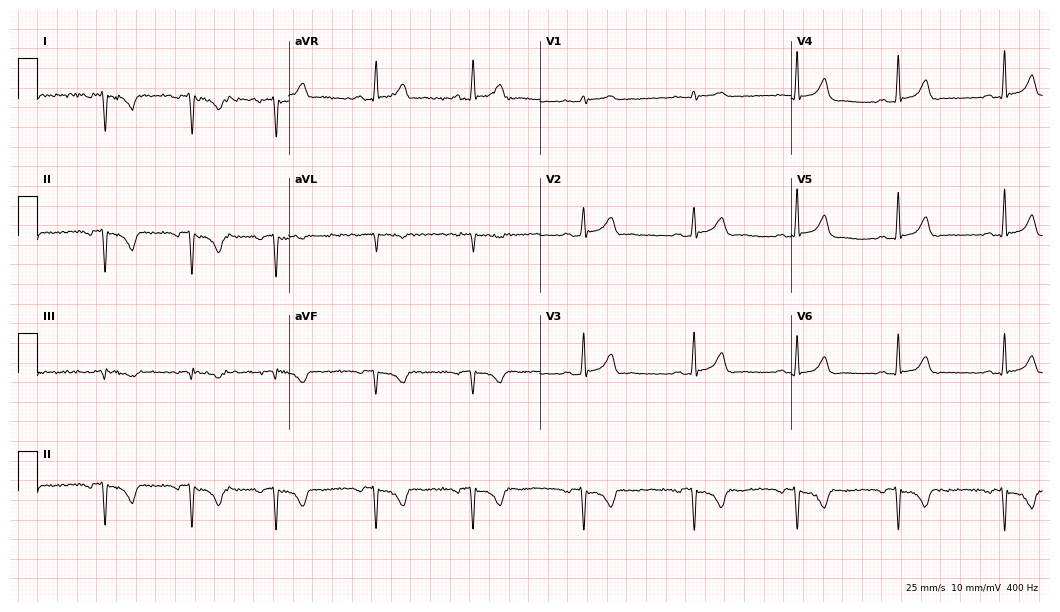
Standard 12-lead ECG recorded from a woman, 21 years old. None of these six findings is recorded: first-degree AV block, right bundle branch block (RBBB), left bundle branch block (LBBB), sinus bradycardia, atrial fibrillation (AF), sinus tachycardia.